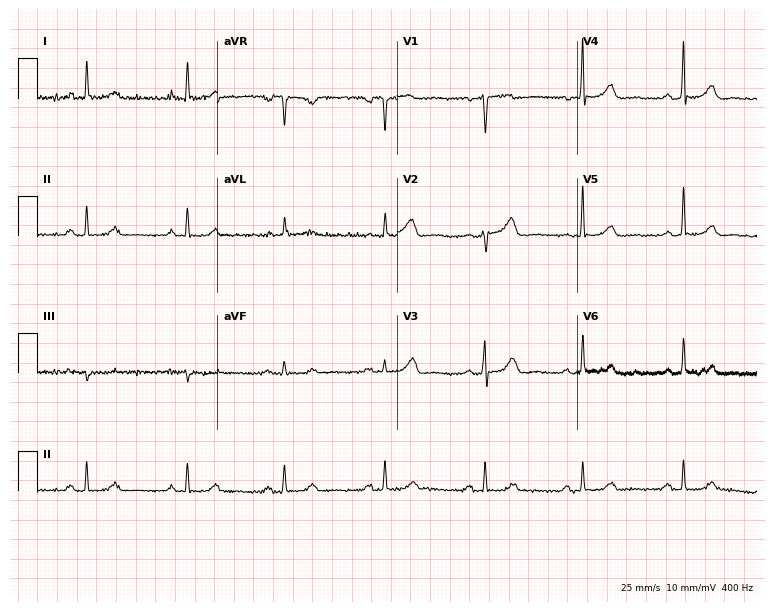
12-lead ECG (7.3-second recording at 400 Hz) from a female patient, 77 years old. Labelled as a normal ECG.